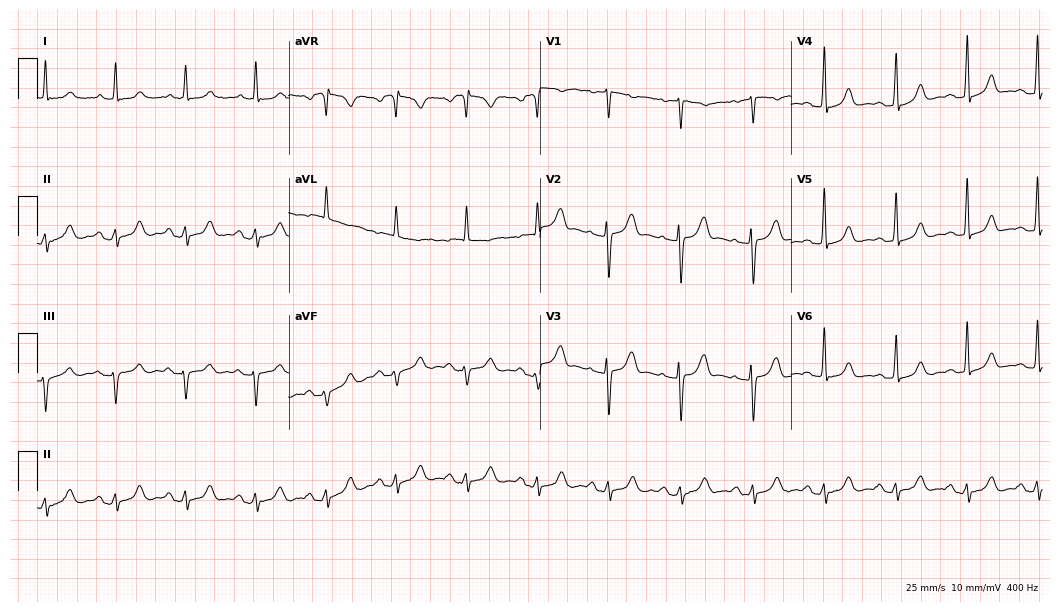
12-lead ECG from a 75-year-old female patient. Recorded interpretation: within normal limits.